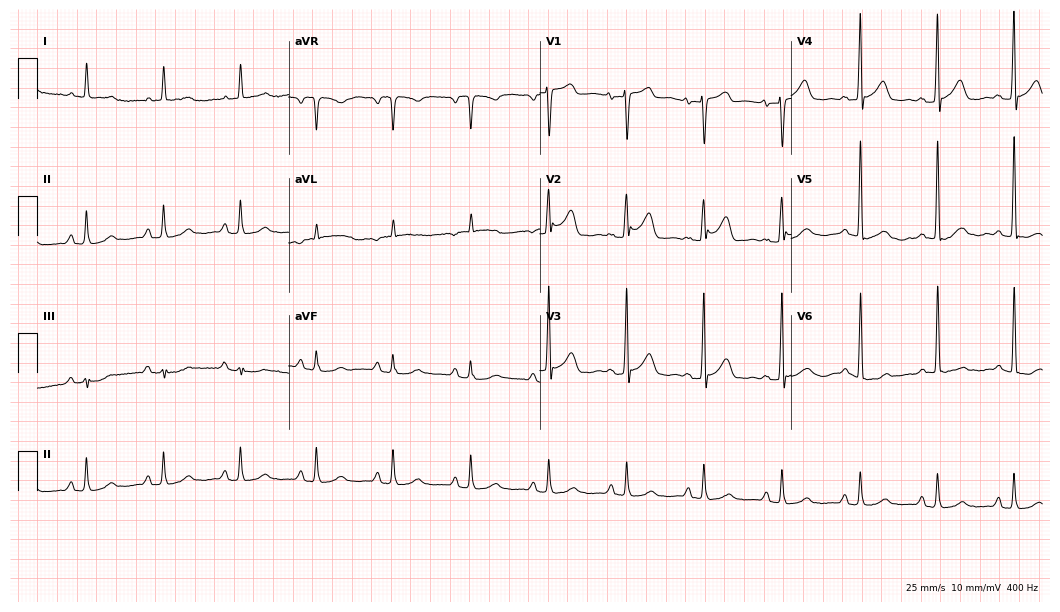
Resting 12-lead electrocardiogram. Patient: a male, 64 years old. Read as a normal ECG.